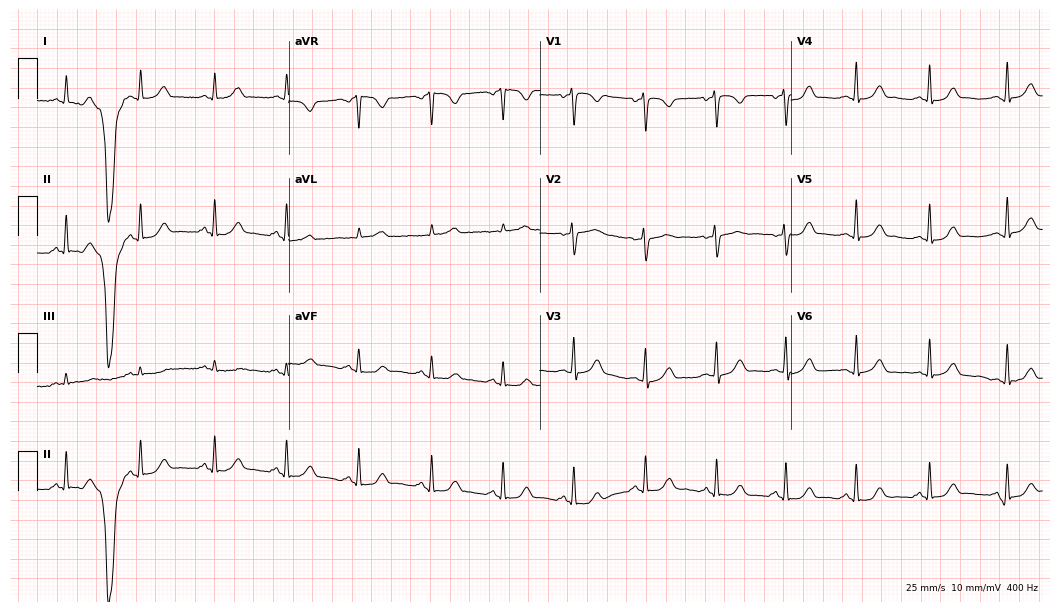
ECG — a 32-year-old woman. Screened for six findings — first-degree AV block, right bundle branch block, left bundle branch block, sinus bradycardia, atrial fibrillation, sinus tachycardia — none is recorded. Other findings, if any, are not listed.